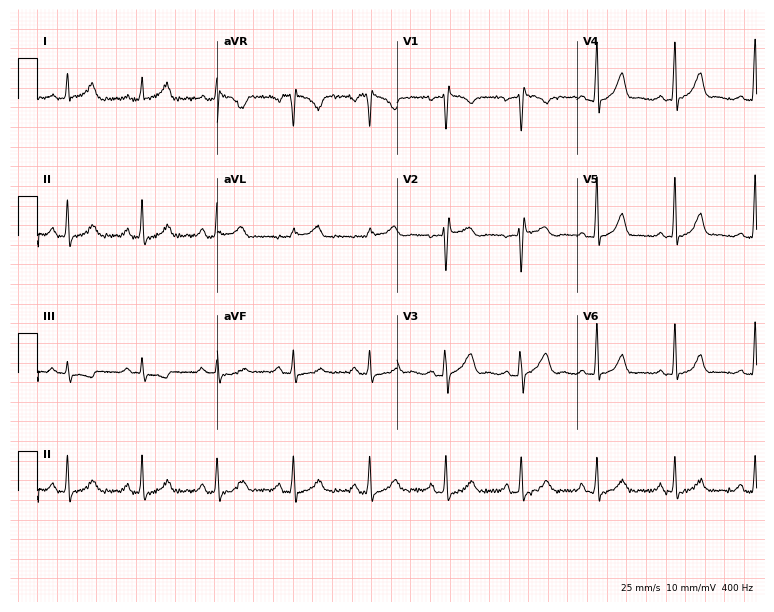
Standard 12-lead ECG recorded from a 38-year-old female. Read as a normal ECG.